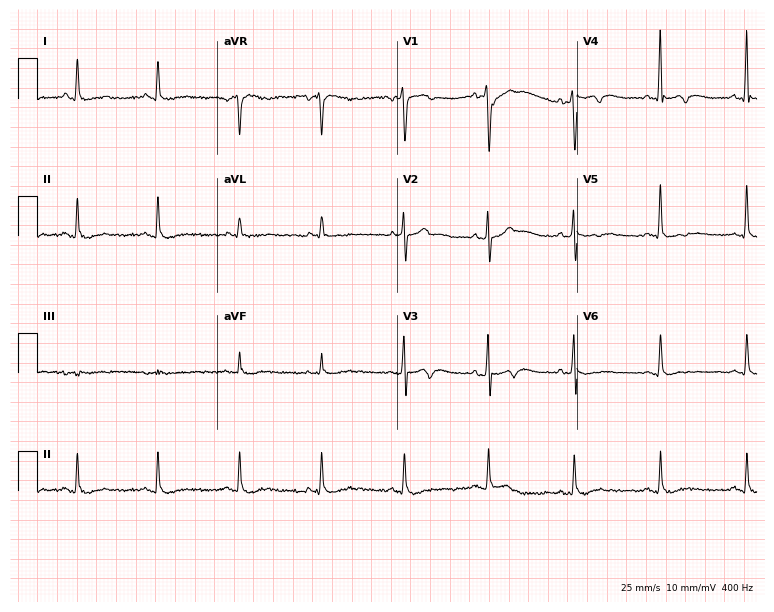
12-lead ECG from a male patient, 56 years old. No first-degree AV block, right bundle branch block, left bundle branch block, sinus bradycardia, atrial fibrillation or sinus tachycardia recorded for this tracing. Other findings, if any, are not listed.